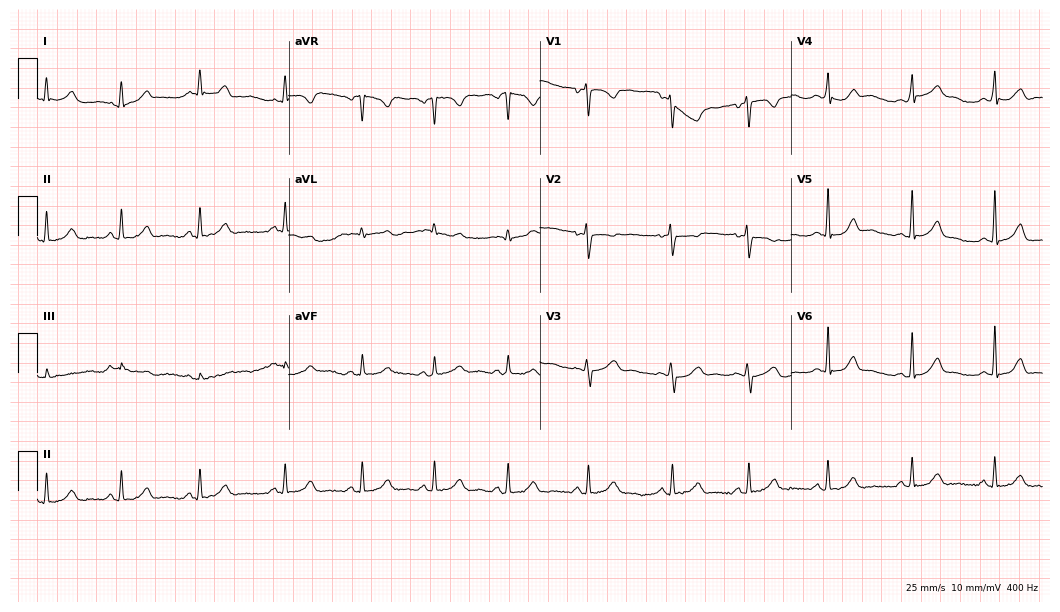
12-lead ECG from a 17-year-old woman. Labelled as a normal ECG.